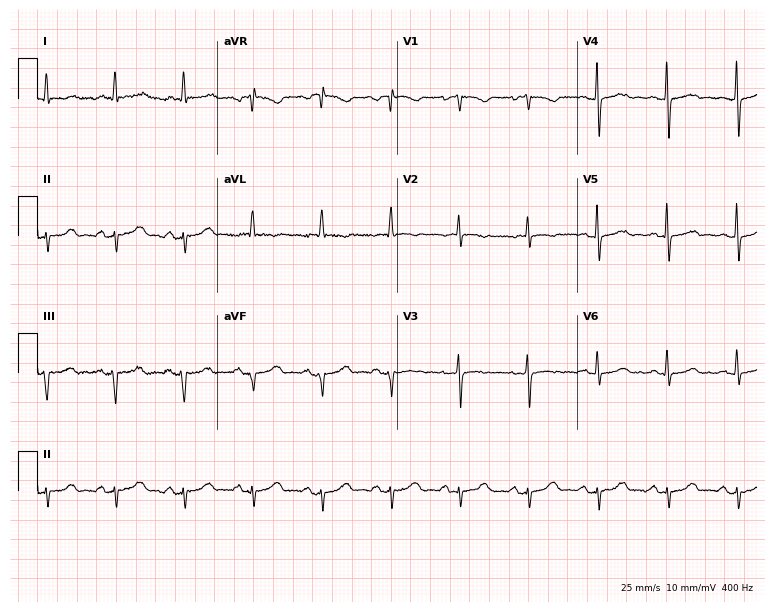
12-lead ECG from a 78-year-old female (7.3-second recording at 400 Hz). No first-degree AV block, right bundle branch block, left bundle branch block, sinus bradycardia, atrial fibrillation or sinus tachycardia recorded for this tracing. Only these six findings were labelled.